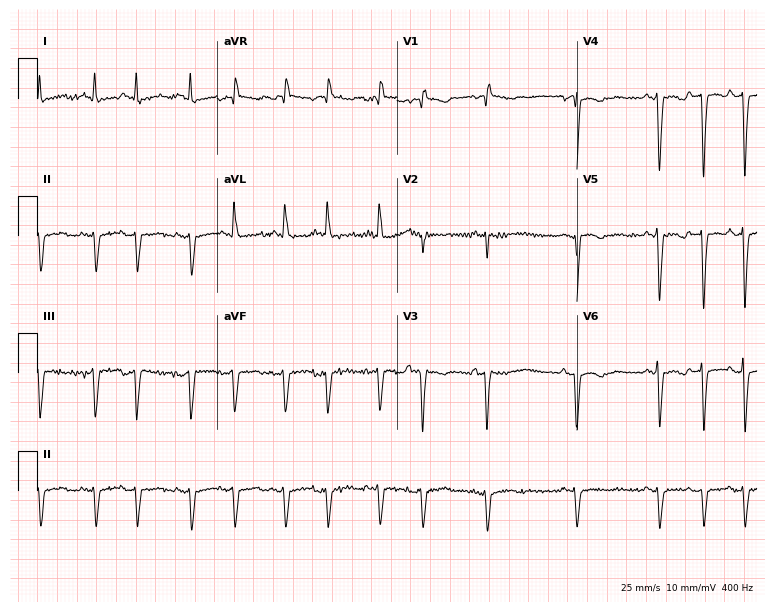
Standard 12-lead ECG recorded from an 84-year-old female. None of these six findings is recorded: first-degree AV block, right bundle branch block, left bundle branch block, sinus bradycardia, atrial fibrillation, sinus tachycardia.